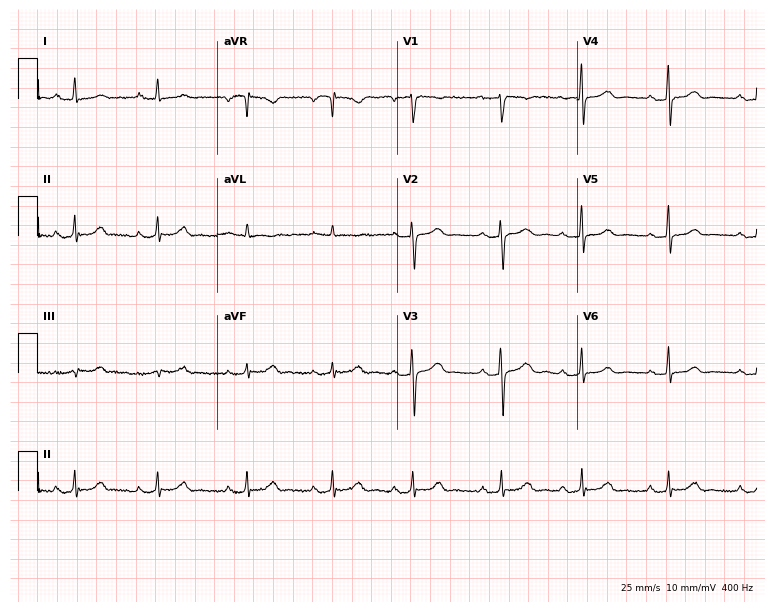
12-lead ECG from a female, 24 years old. Labelled as a normal ECG.